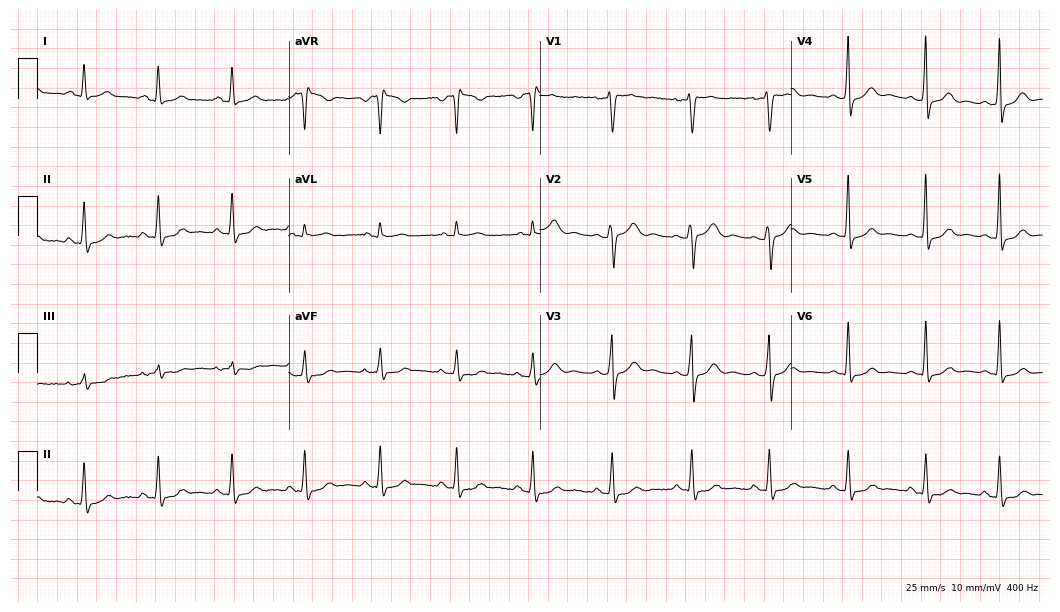
ECG — a woman, 29 years old. Screened for six findings — first-degree AV block, right bundle branch block, left bundle branch block, sinus bradycardia, atrial fibrillation, sinus tachycardia — none is recorded.